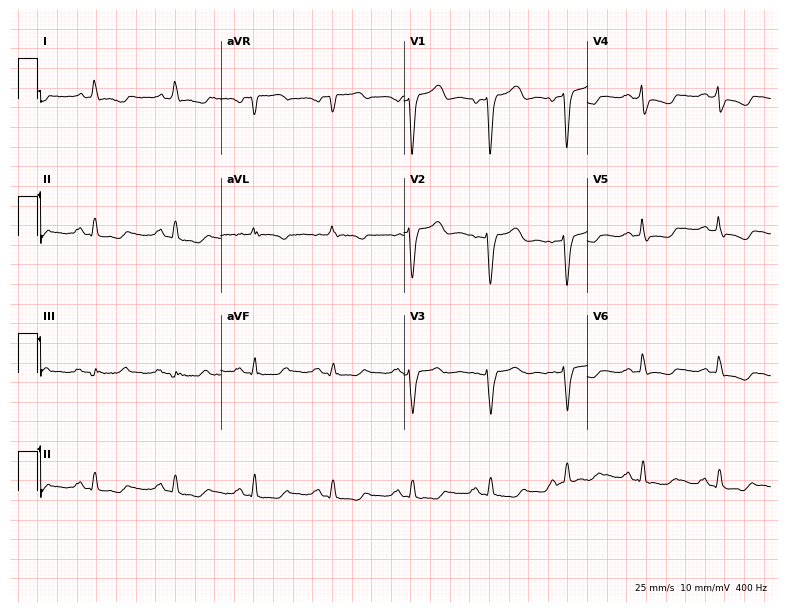
Resting 12-lead electrocardiogram. Patient: a female, 56 years old. None of these six findings is recorded: first-degree AV block, right bundle branch block, left bundle branch block, sinus bradycardia, atrial fibrillation, sinus tachycardia.